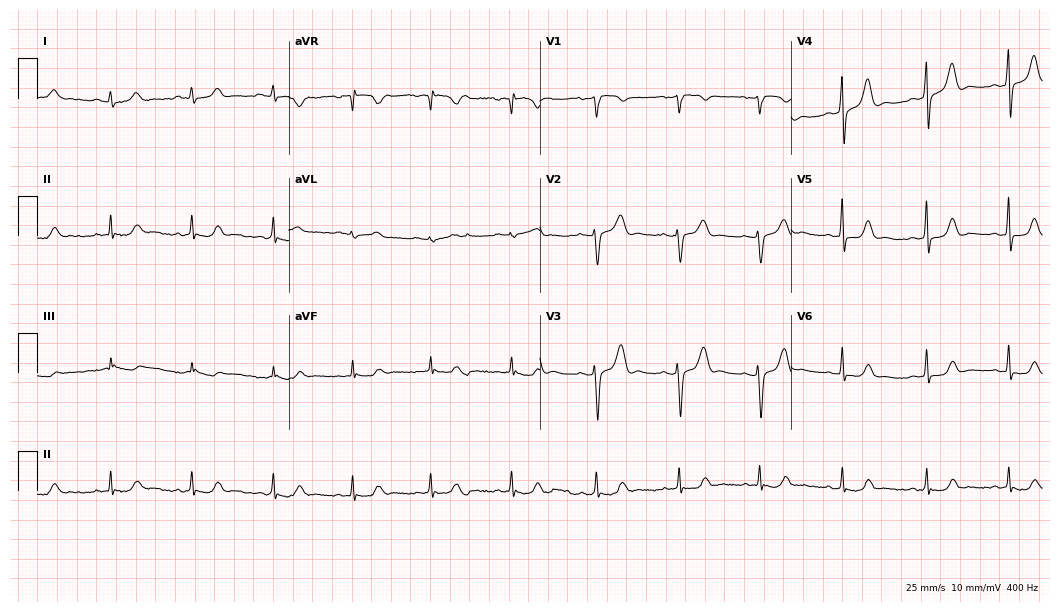
ECG — a female, 43 years old. Screened for six findings — first-degree AV block, right bundle branch block (RBBB), left bundle branch block (LBBB), sinus bradycardia, atrial fibrillation (AF), sinus tachycardia — none is recorded. Only these six findings were labelled.